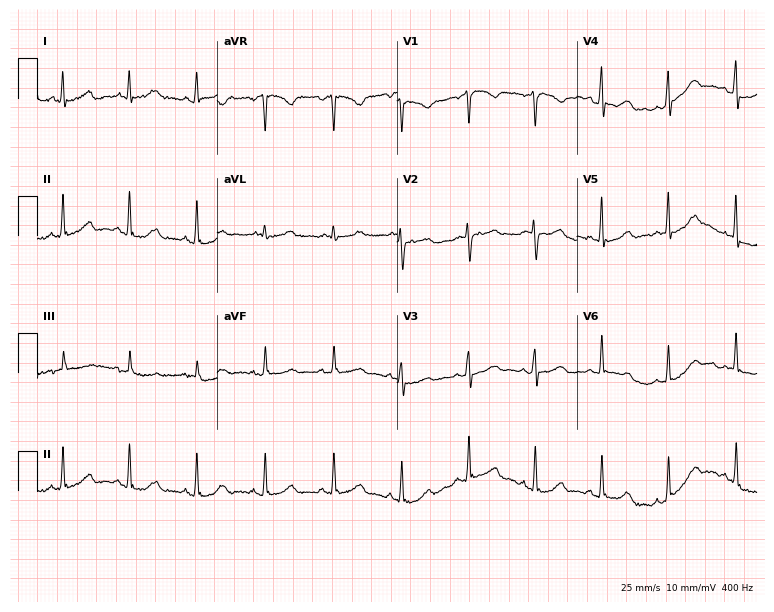
Standard 12-lead ECG recorded from a 55-year-old female patient (7.3-second recording at 400 Hz). None of these six findings is recorded: first-degree AV block, right bundle branch block, left bundle branch block, sinus bradycardia, atrial fibrillation, sinus tachycardia.